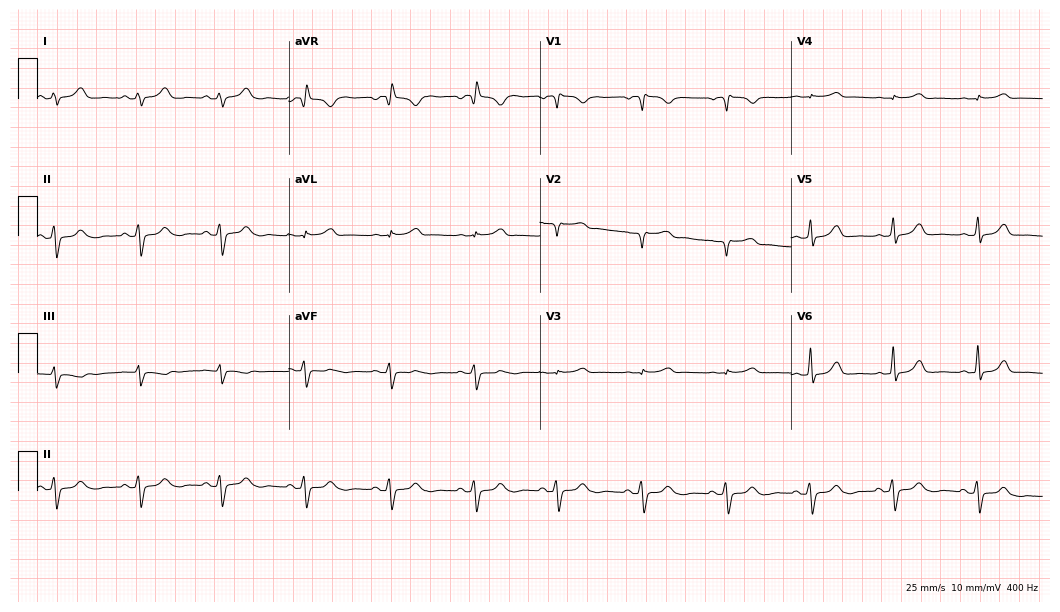
12-lead ECG from a female, 71 years old (10.2-second recording at 400 Hz). No first-degree AV block, right bundle branch block, left bundle branch block, sinus bradycardia, atrial fibrillation or sinus tachycardia recorded for this tracing. Other findings, if any, are not listed.